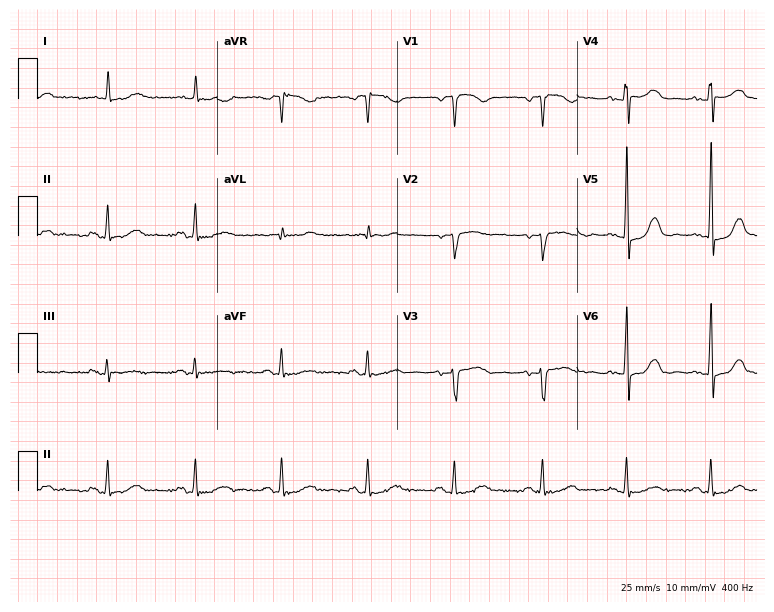
Resting 12-lead electrocardiogram. Patient: a female, 59 years old. Read as a normal ECG.